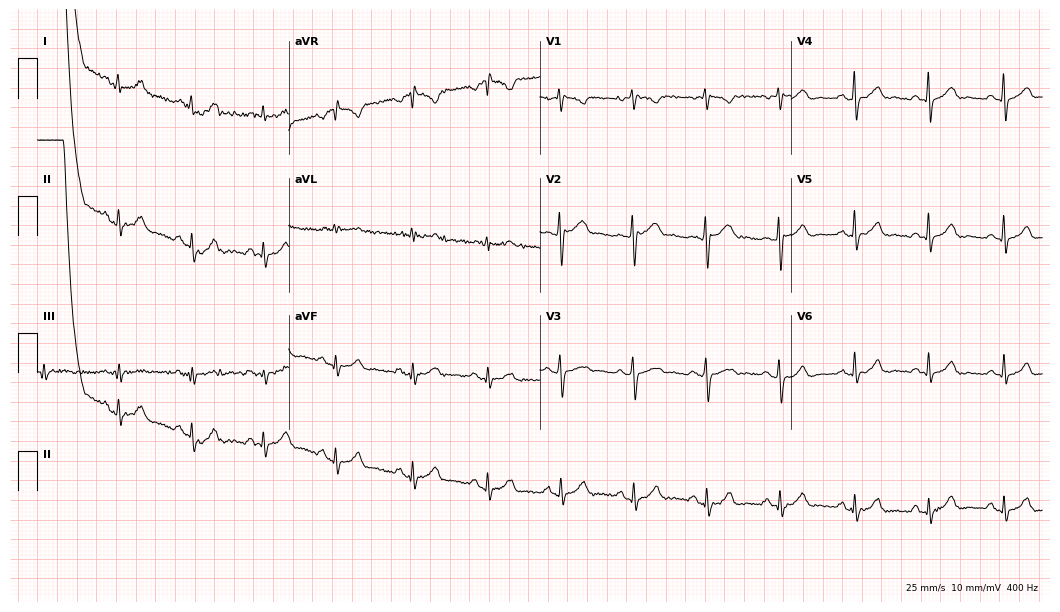
Standard 12-lead ECG recorded from a 51-year-old female (10.2-second recording at 400 Hz). Read as a normal ECG.